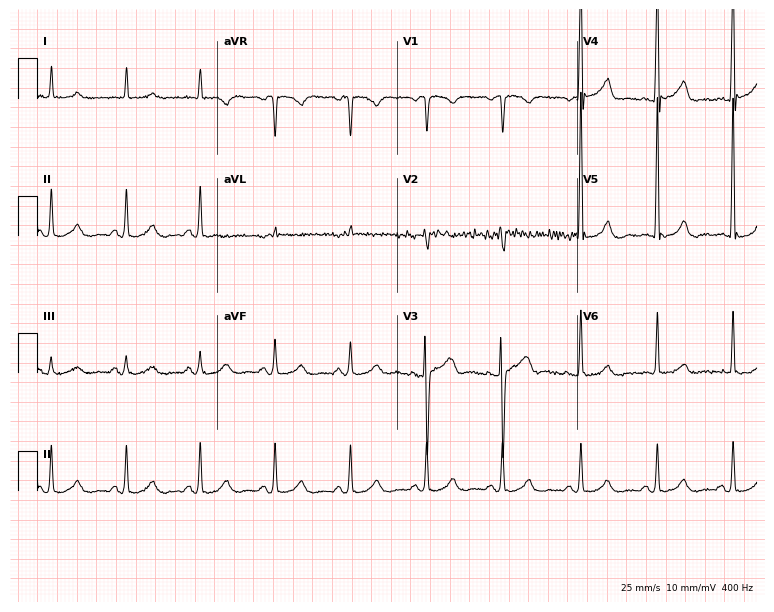
ECG — a male, 83 years old. Labelled as a normal ECG.